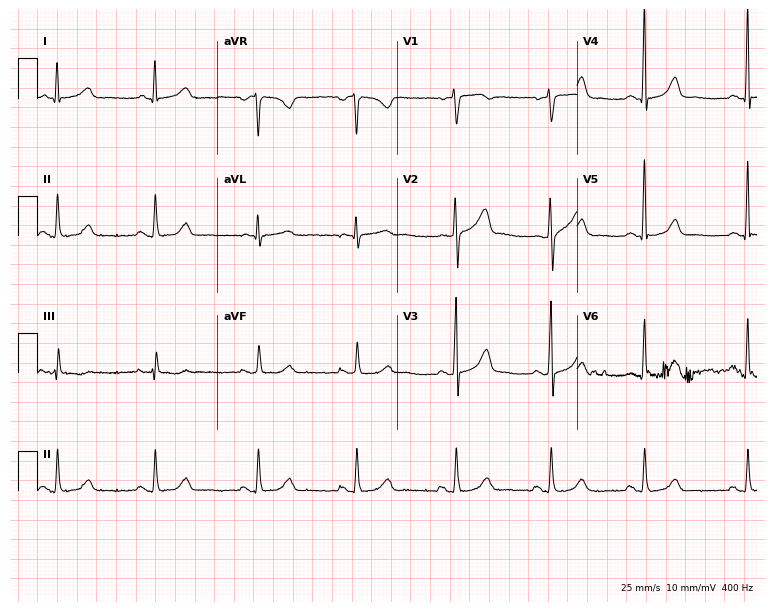
12-lead ECG (7.3-second recording at 400 Hz) from a female, 62 years old. Labelled as a normal ECG.